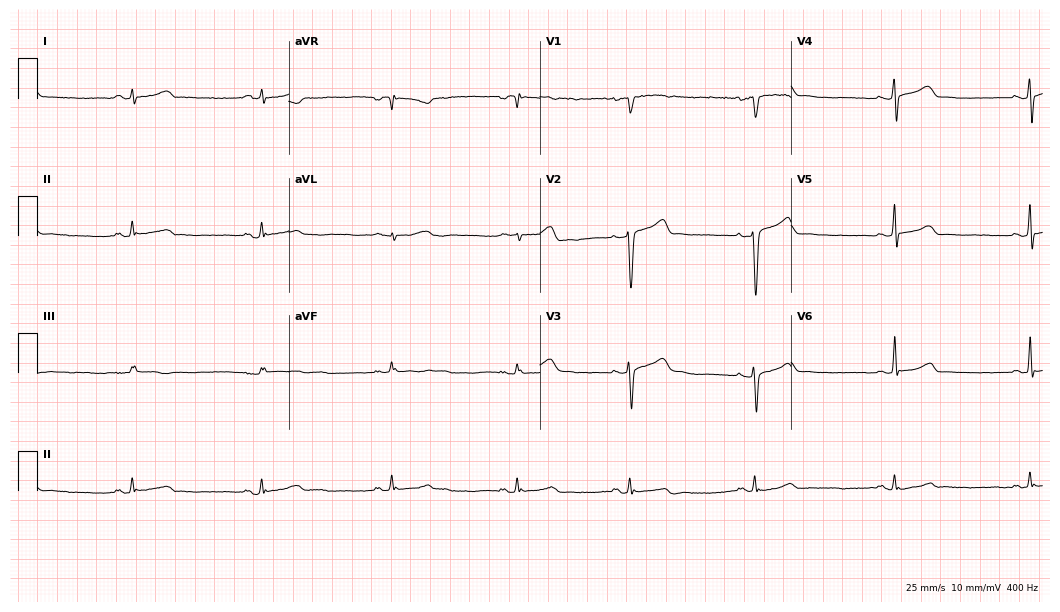
ECG (10.2-second recording at 400 Hz) — a man, 38 years old. Screened for six findings — first-degree AV block, right bundle branch block, left bundle branch block, sinus bradycardia, atrial fibrillation, sinus tachycardia — none is recorded.